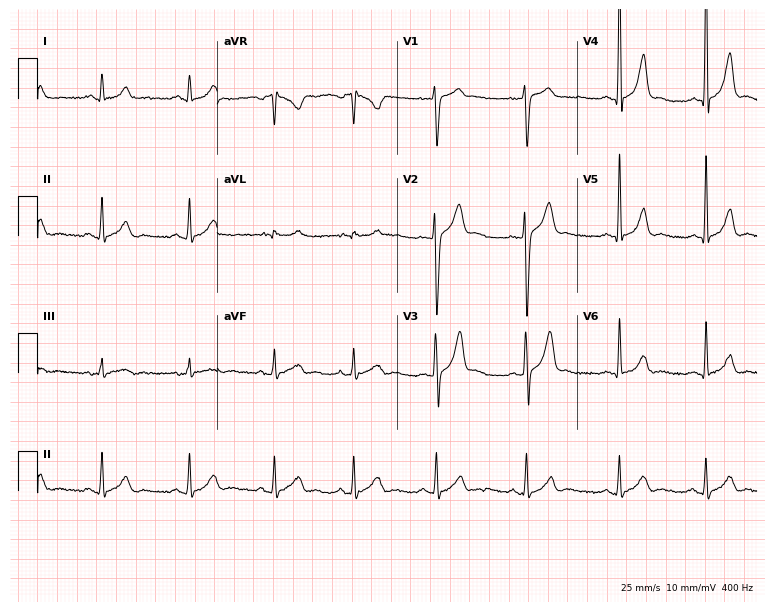
12-lead ECG from a 22-year-old male patient. Recorded interpretation: within normal limits.